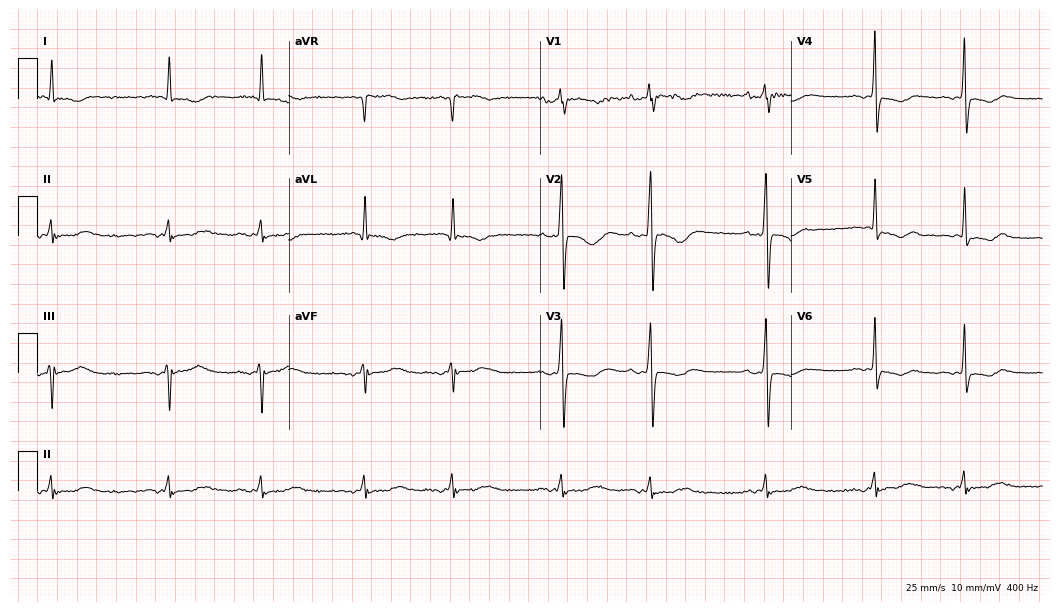
12-lead ECG from an 80-year-old woman. Screened for six findings — first-degree AV block, right bundle branch block (RBBB), left bundle branch block (LBBB), sinus bradycardia, atrial fibrillation (AF), sinus tachycardia — none is recorded. Only these six findings were labelled.